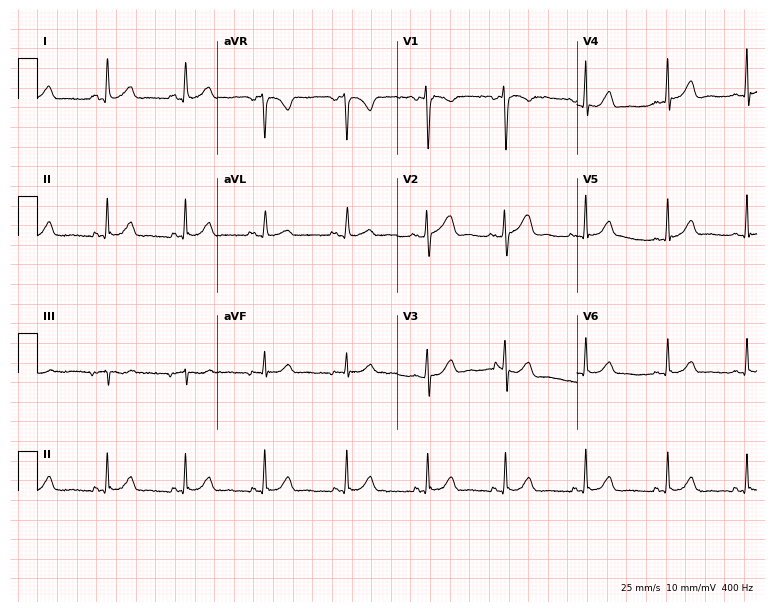
Resting 12-lead electrocardiogram (7.3-second recording at 400 Hz). Patient: a 41-year-old female. None of these six findings is recorded: first-degree AV block, right bundle branch block, left bundle branch block, sinus bradycardia, atrial fibrillation, sinus tachycardia.